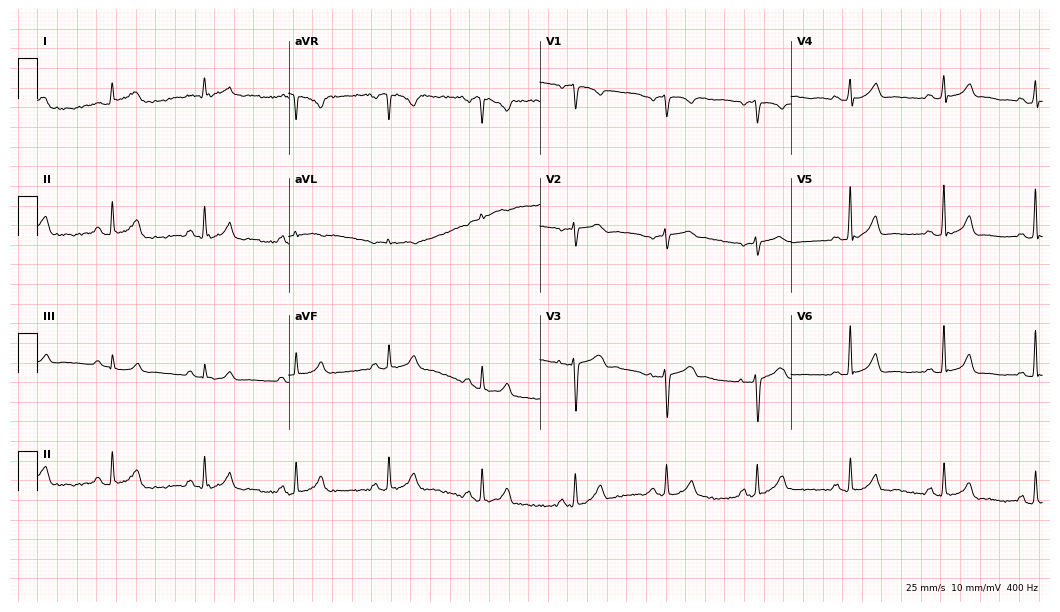
ECG (10.2-second recording at 400 Hz) — a female patient, 45 years old. Labelled as a normal ECG.